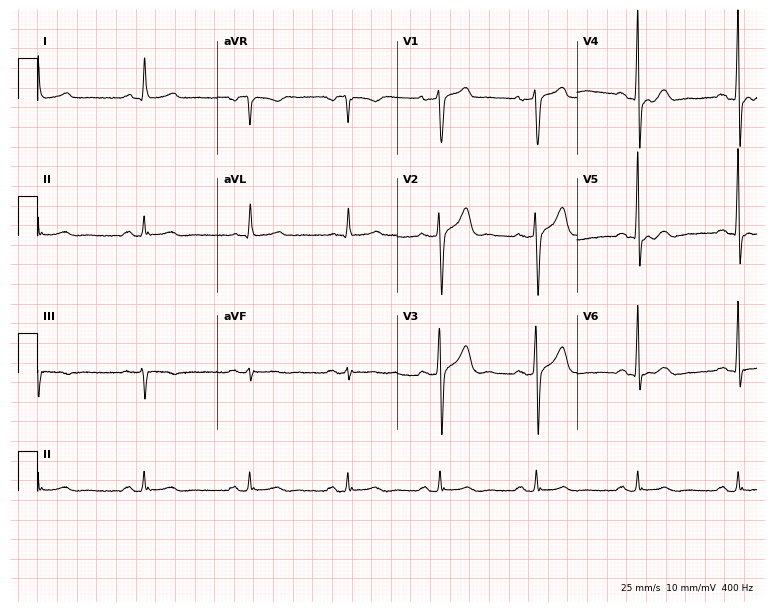
ECG (7.3-second recording at 400 Hz) — a 47-year-old male patient. Labelled as a normal ECG.